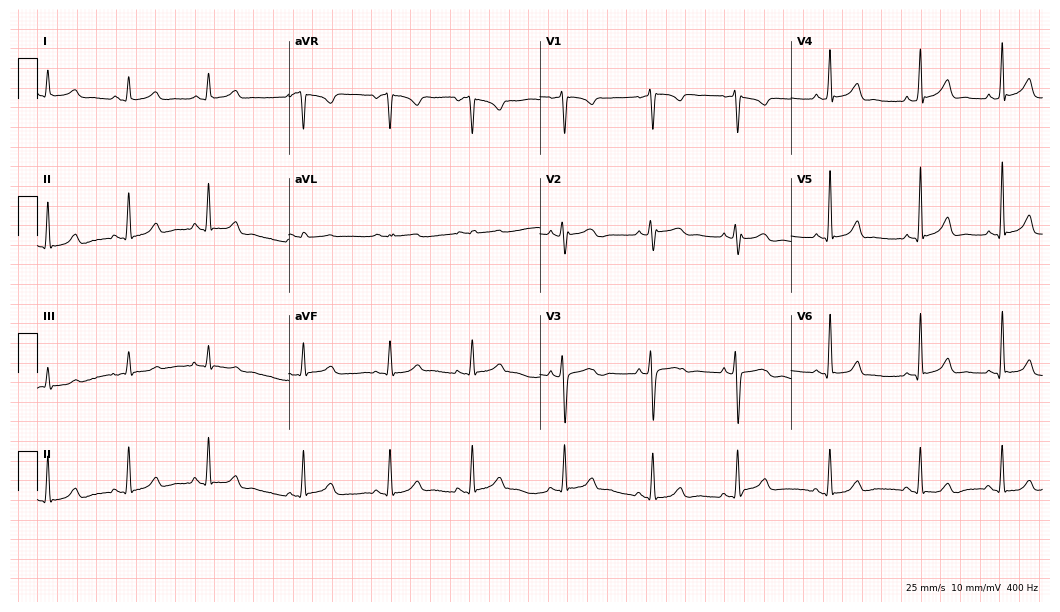
Standard 12-lead ECG recorded from a 22-year-old woman (10.2-second recording at 400 Hz). Read as a normal ECG.